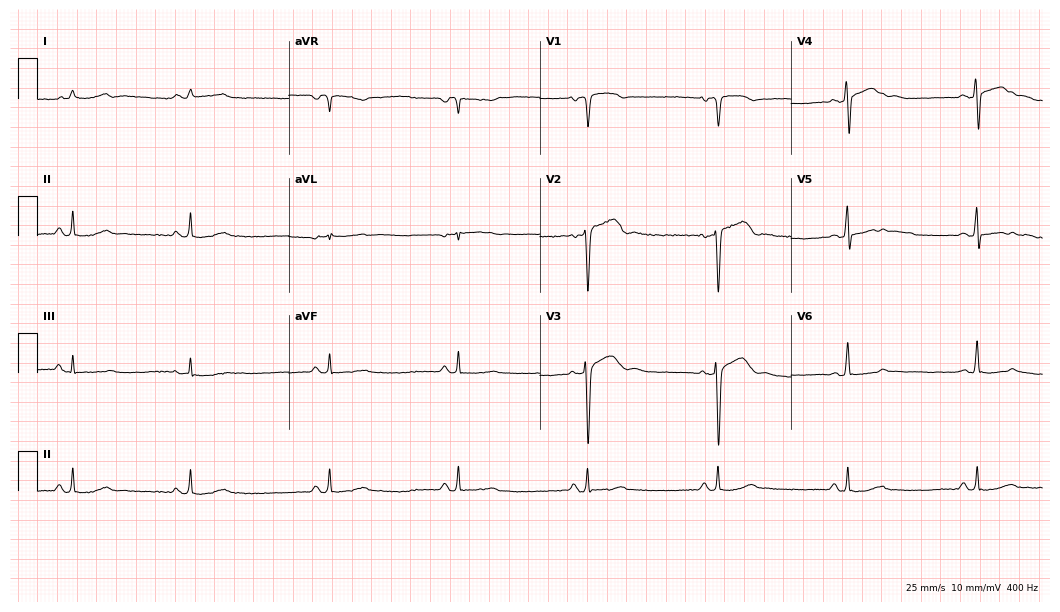
Electrocardiogram (10.2-second recording at 400 Hz), a 63-year-old man. Interpretation includes sinus bradycardia (a sinus rate of 50 beats per minute or less).